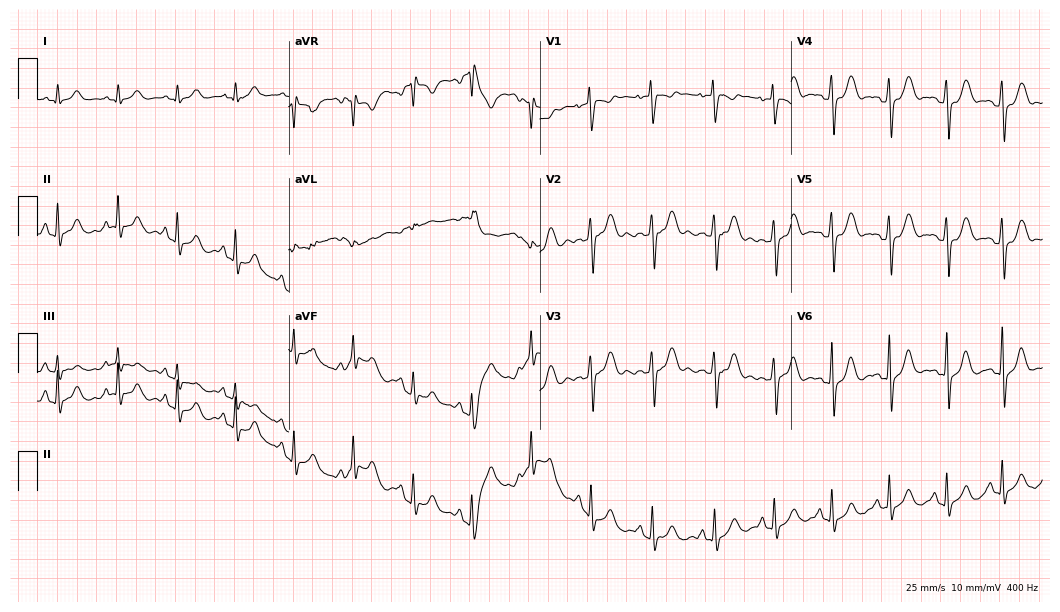
12-lead ECG from an 18-year-old female patient (10.2-second recording at 400 Hz). No first-degree AV block, right bundle branch block, left bundle branch block, sinus bradycardia, atrial fibrillation or sinus tachycardia recorded for this tracing.